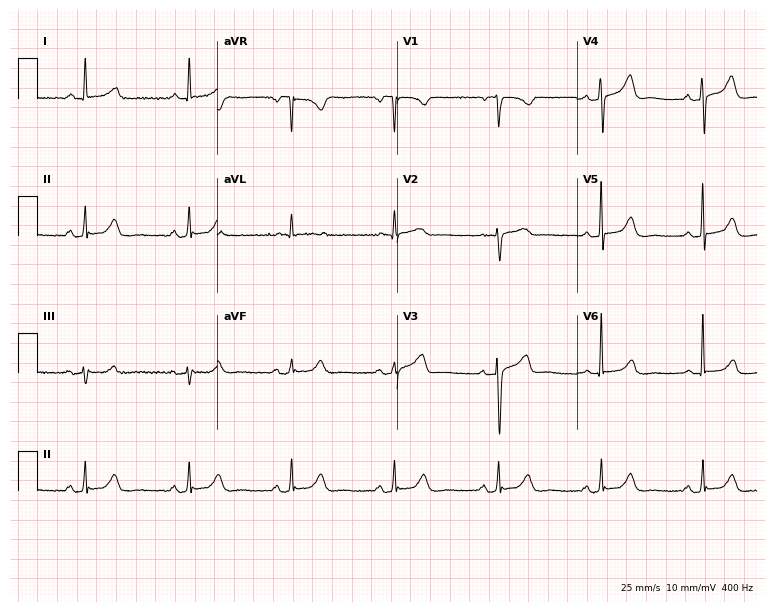
Standard 12-lead ECG recorded from a woman, 80 years old (7.3-second recording at 400 Hz). Read as a normal ECG.